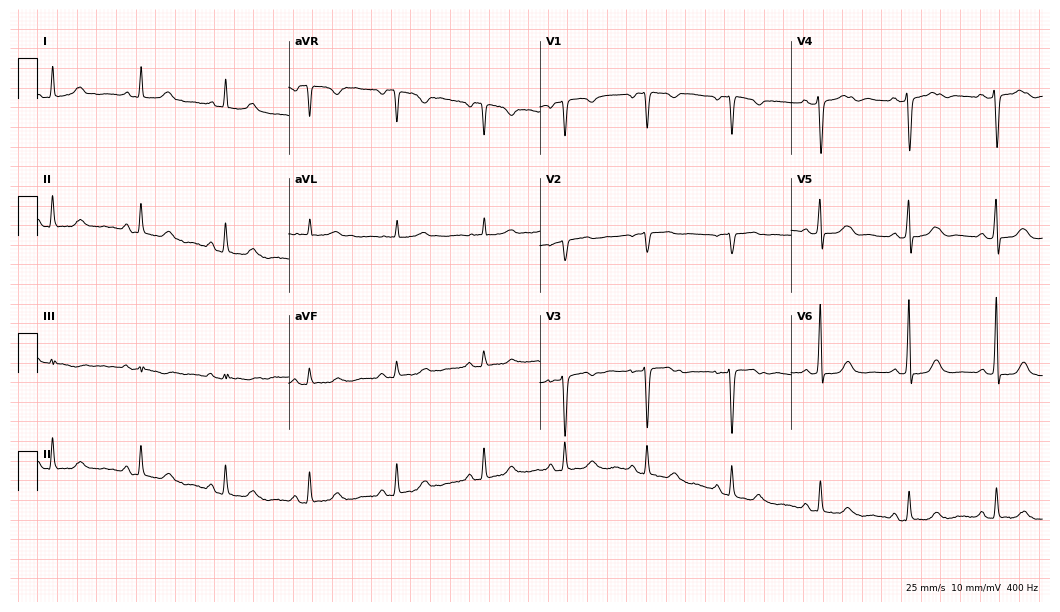
ECG (10.2-second recording at 400 Hz) — a 46-year-old female patient. Labelled as a normal ECG.